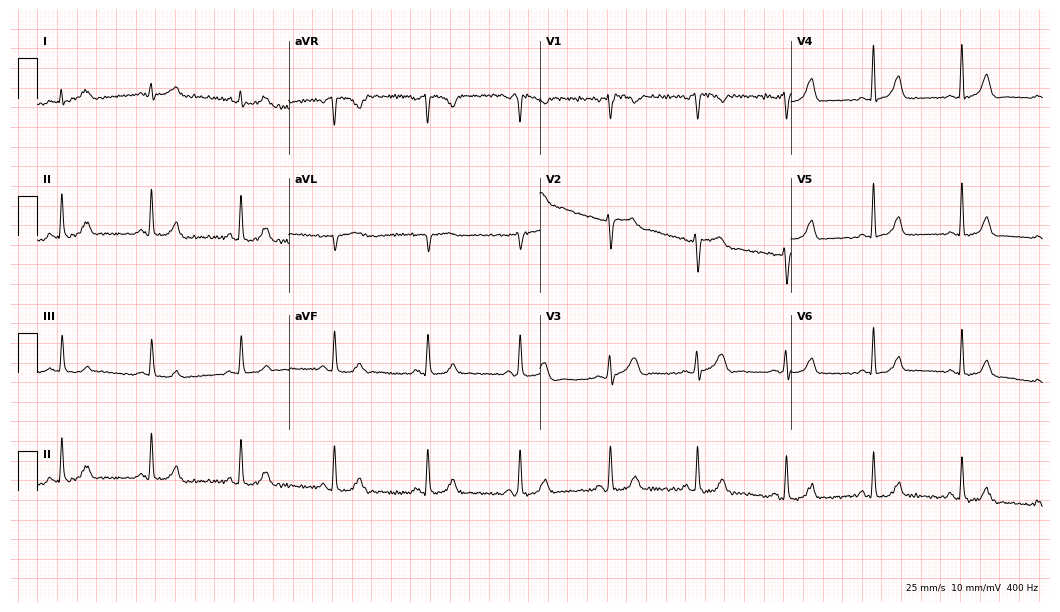
ECG (10.2-second recording at 400 Hz) — a 43-year-old female patient. Labelled as a normal ECG.